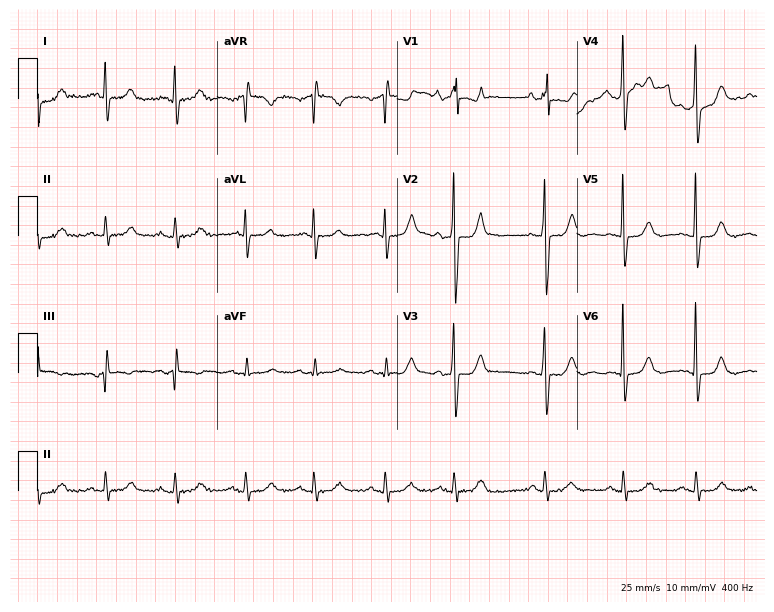
12-lead ECG (7.3-second recording at 400 Hz) from a woman, 80 years old. Screened for six findings — first-degree AV block, right bundle branch block (RBBB), left bundle branch block (LBBB), sinus bradycardia, atrial fibrillation (AF), sinus tachycardia — none is recorded.